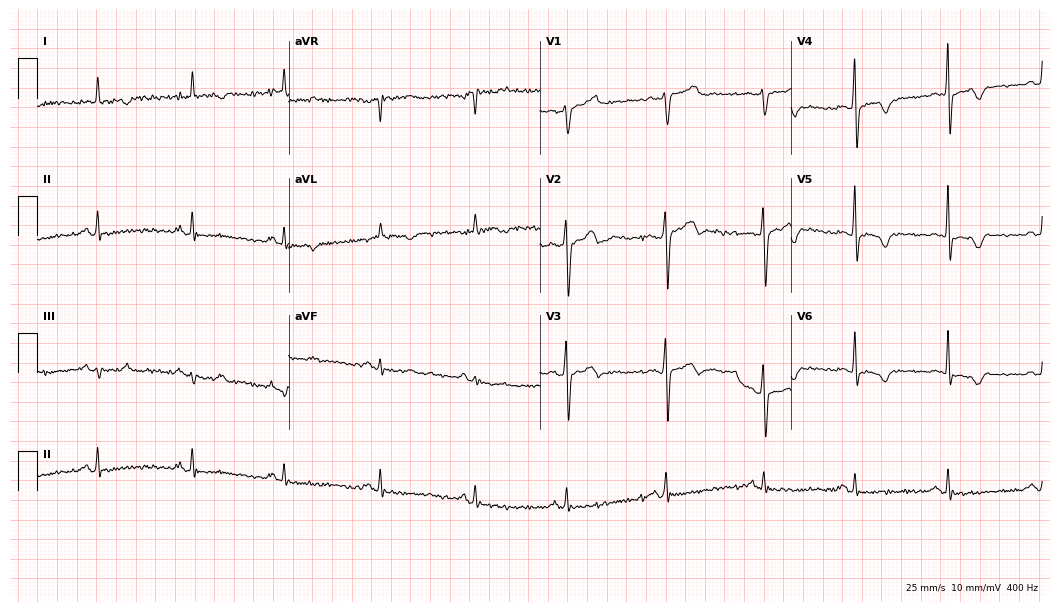
Resting 12-lead electrocardiogram. Patient: a 54-year-old male. None of these six findings is recorded: first-degree AV block, right bundle branch block (RBBB), left bundle branch block (LBBB), sinus bradycardia, atrial fibrillation (AF), sinus tachycardia. Findings outside these six are not listed.